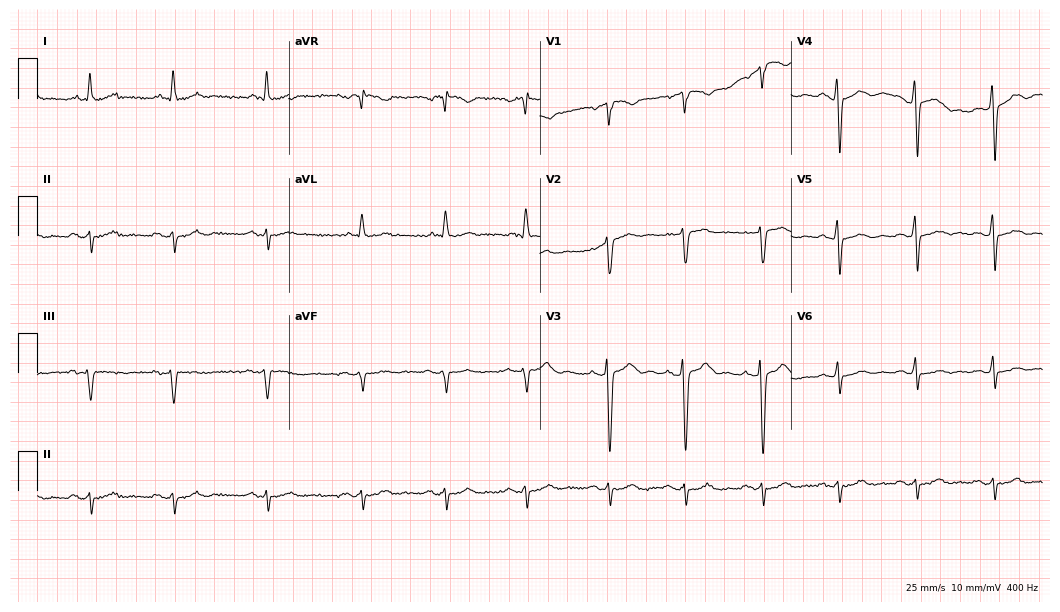
12-lead ECG from a male, 54 years old. Screened for six findings — first-degree AV block, right bundle branch block, left bundle branch block, sinus bradycardia, atrial fibrillation, sinus tachycardia — none is recorded. Other findings, if any, are not listed.